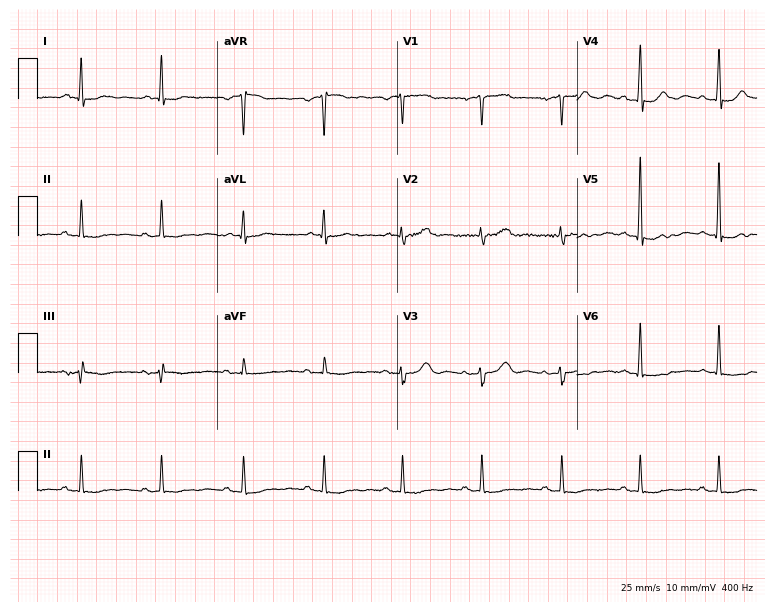
Standard 12-lead ECG recorded from a female, 75 years old (7.3-second recording at 400 Hz). None of these six findings is recorded: first-degree AV block, right bundle branch block, left bundle branch block, sinus bradycardia, atrial fibrillation, sinus tachycardia. Other findings, if any, are not listed.